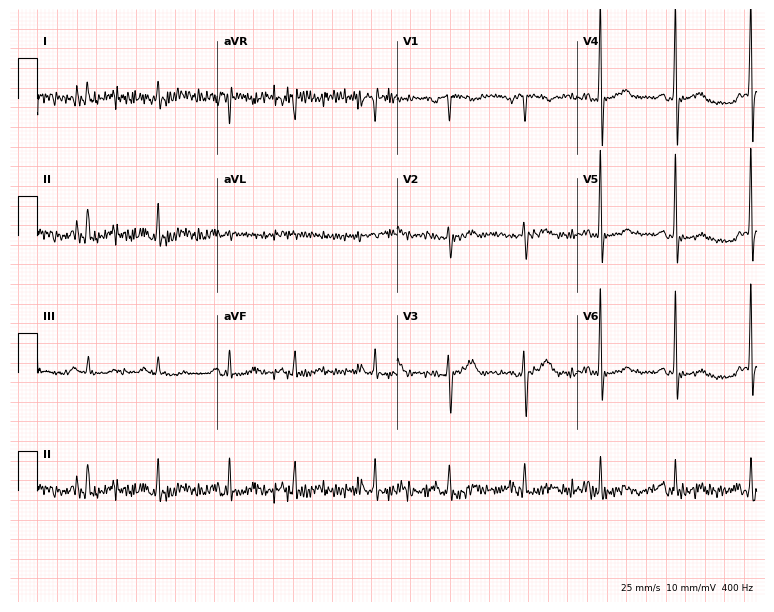
Resting 12-lead electrocardiogram (7.3-second recording at 400 Hz). Patient: a 75-year-old male. None of these six findings is recorded: first-degree AV block, right bundle branch block, left bundle branch block, sinus bradycardia, atrial fibrillation, sinus tachycardia.